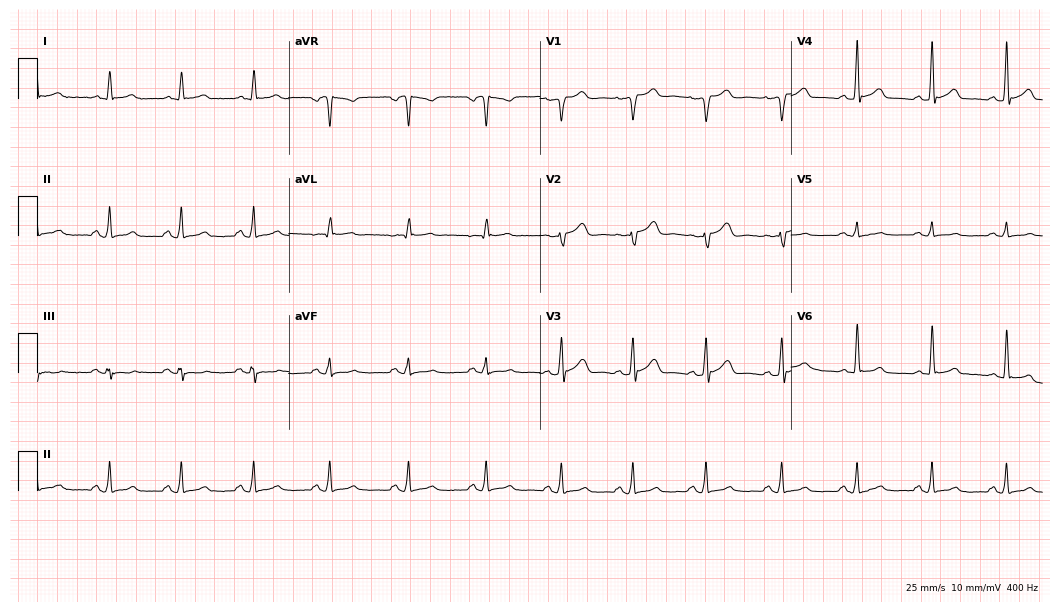
Resting 12-lead electrocardiogram. Patient: a 61-year-old male. Read as a normal ECG.